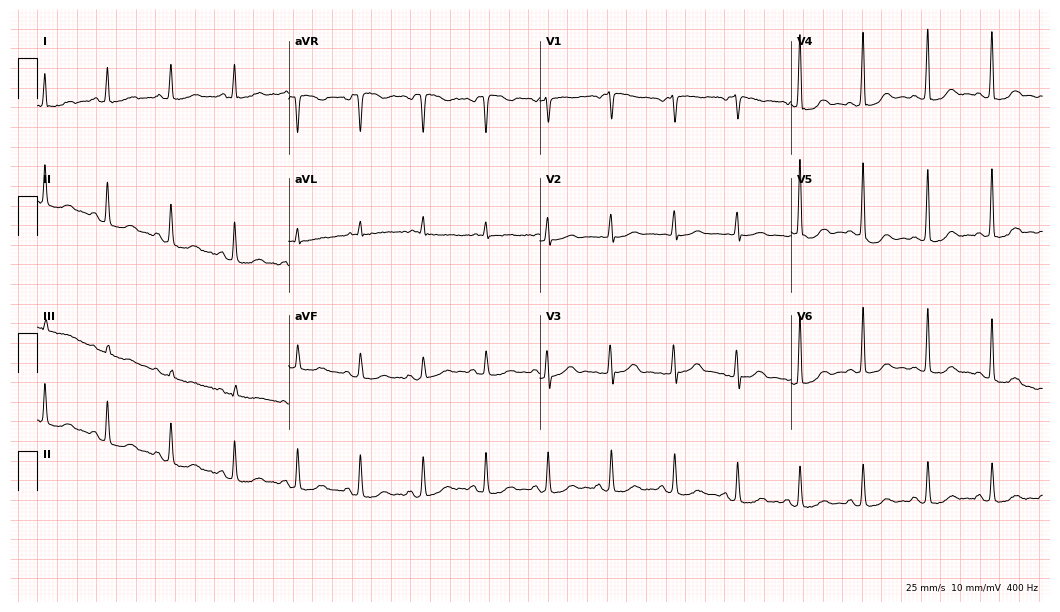
Electrocardiogram (10.2-second recording at 400 Hz), a female, 74 years old. Of the six screened findings (first-degree AV block, right bundle branch block (RBBB), left bundle branch block (LBBB), sinus bradycardia, atrial fibrillation (AF), sinus tachycardia), none is recorded. Other findings, if any, are not listed.